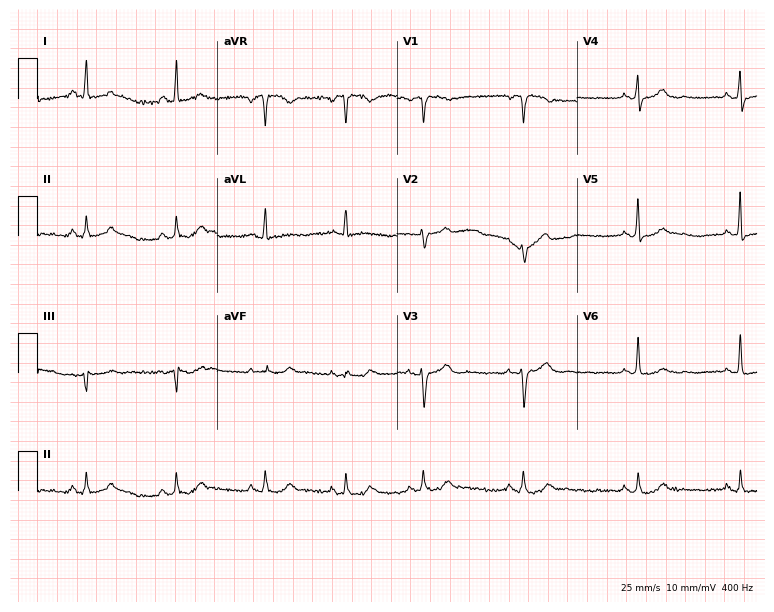
12-lead ECG from a female, 55 years old. Recorded interpretation: within normal limits.